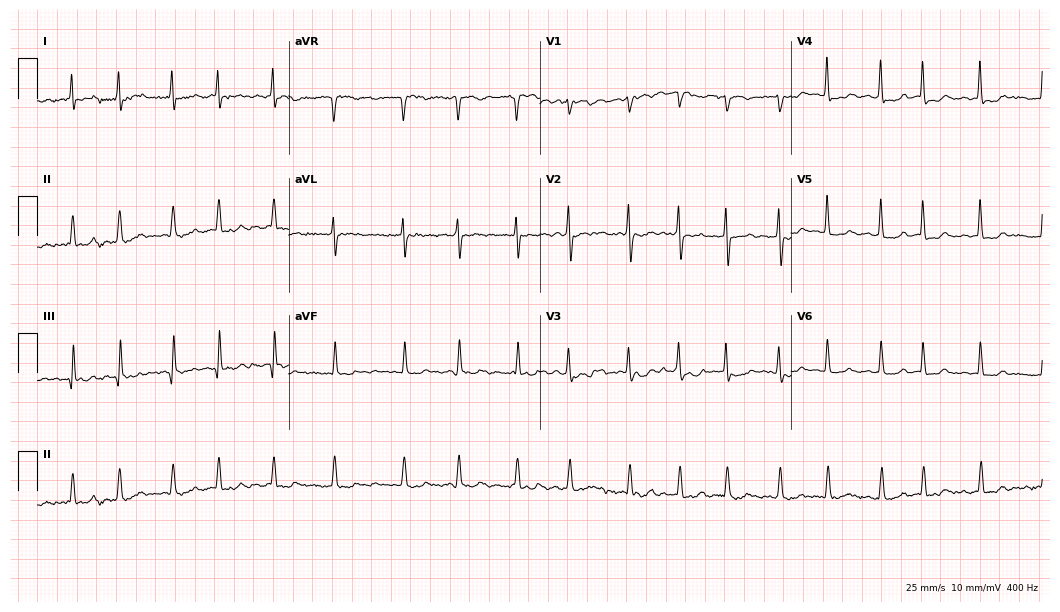
Resting 12-lead electrocardiogram. Patient: a 78-year-old female. None of these six findings is recorded: first-degree AV block, right bundle branch block (RBBB), left bundle branch block (LBBB), sinus bradycardia, atrial fibrillation (AF), sinus tachycardia.